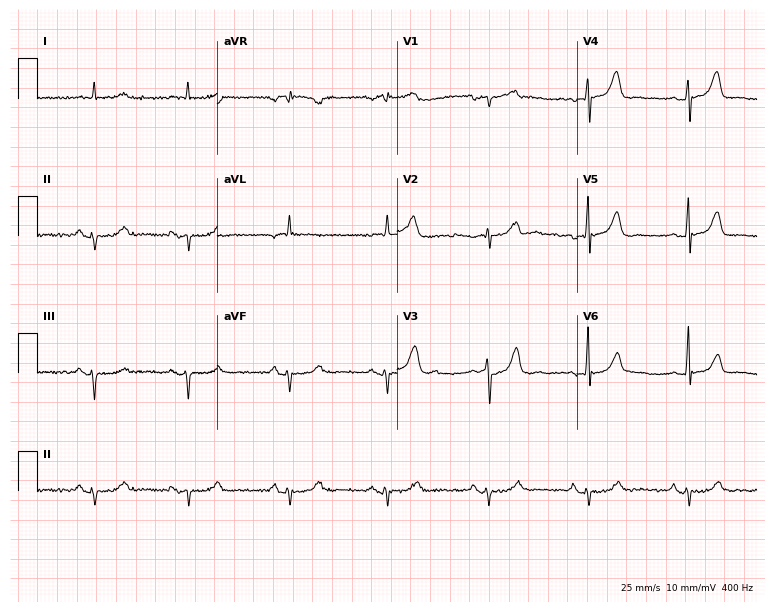
Resting 12-lead electrocardiogram. Patient: a male, 74 years old. None of these six findings is recorded: first-degree AV block, right bundle branch block, left bundle branch block, sinus bradycardia, atrial fibrillation, sinus tachycardia. Only these six findings were labelled.